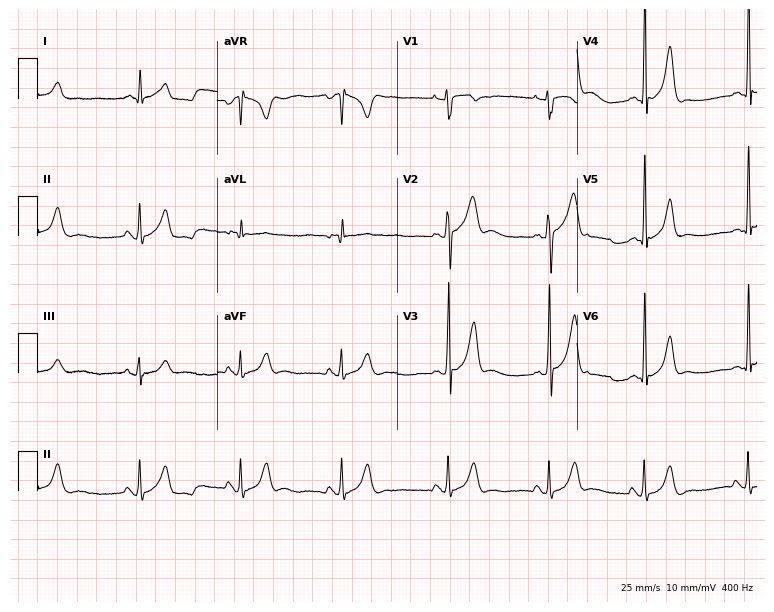
12-lead ECG (7.3-second recording at 400 Hz) from a 21-year-old male patient. Screened for six findings — first-degree AV block, right bundle branch block, left bundle branch block, sinus bradycardia, atrial fibrillation, sinus tachycardia — none is recorded. Other findings, if any, are not listed.